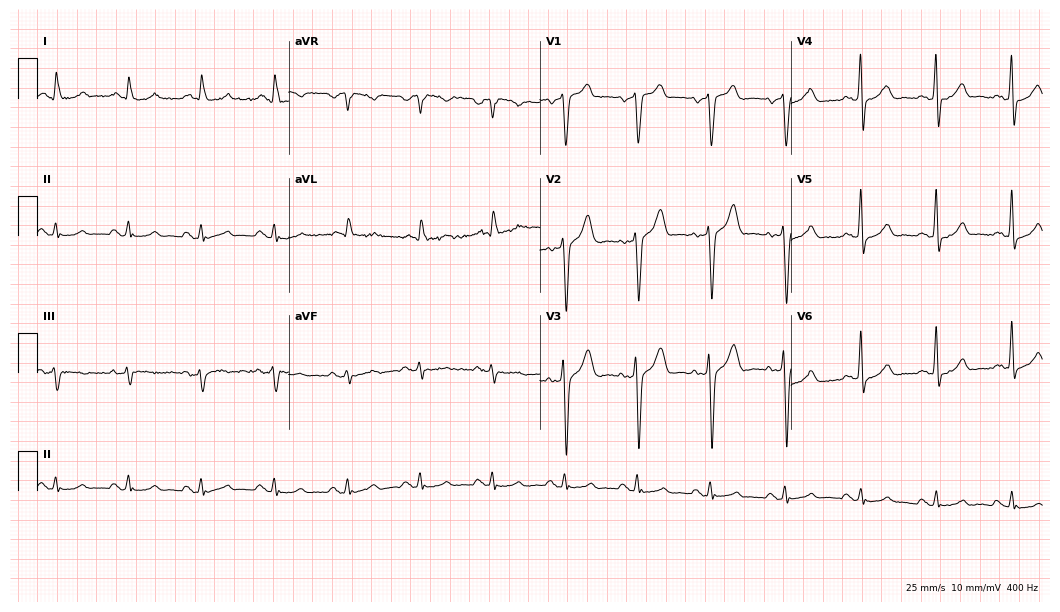
12-lead ECG (10.2-second recording at 400 Hz) from a 52-year-old male patient. Screened for six findings — first-degree AV block, right bundle branch block, left bundle branch block, sinus bradycardia, atrial fibrillation, sinus tachycardia — none is recorded. Findings outside these six are not listed.